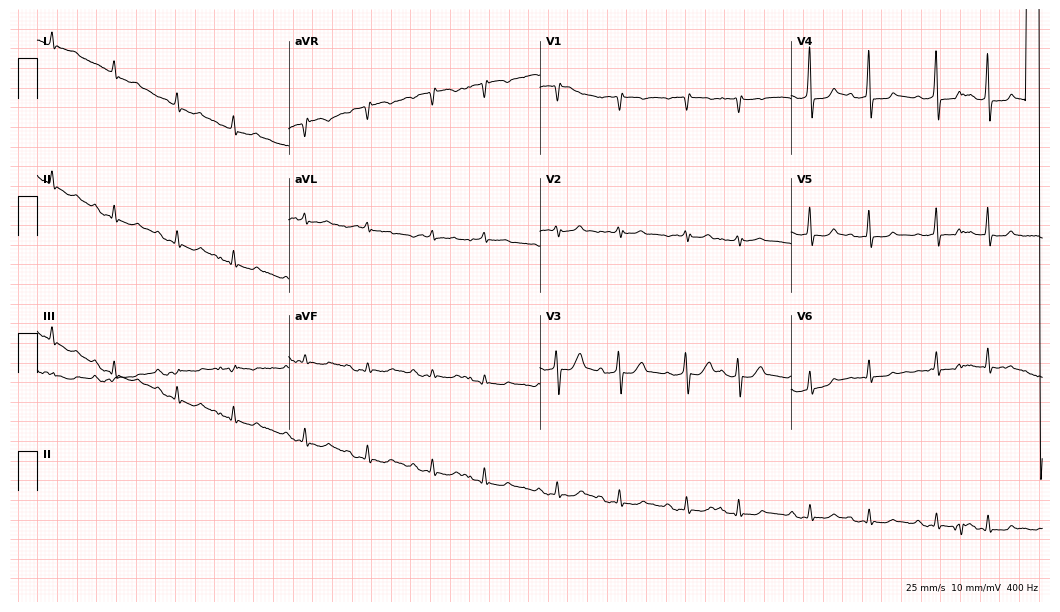
12-lead ECG from a 72-year-old man. Screened for six findings — first-degree AV block, right bundle branch block (RBBB), left bundle branch block (LBBB), sinus bradycardia, atrial fibrillation (AF), sinus tachycardia — none is recorded.